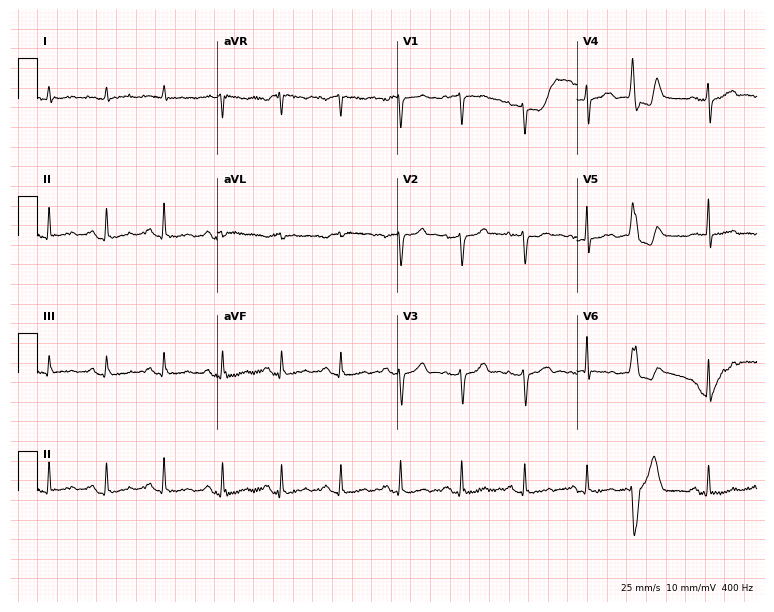
Electrocardiogram, a man, 67 years old. Of the six screened findings (first-degree AV block, right bundle branch block (RBBB), left bundle branch block (LBBB), sinus bradycardia, atrial fibrillation (AF), sinus tachycardia), none is recorded. Findings outside these six are not listed.